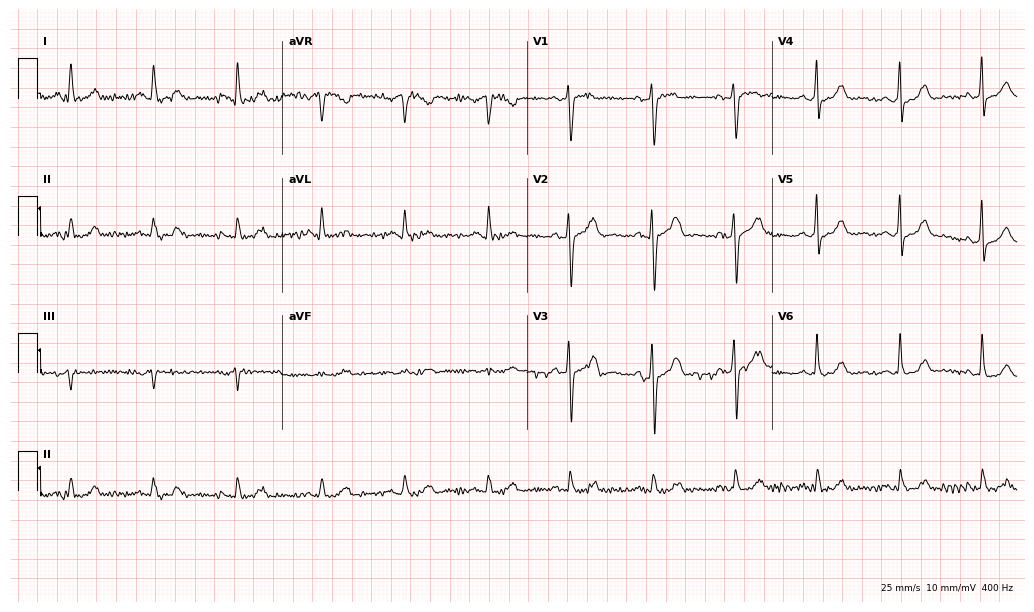
12-lead ECG from a 53-year-old male patient. Screened for six findings — first-degree AV block, right bundle branch block (RBBB), left bundle branch block (LBBB), sinus bradycardia, atrial fibrillation (AF), sinus tachycardia — none is recorded. Only these six findings were labelled.